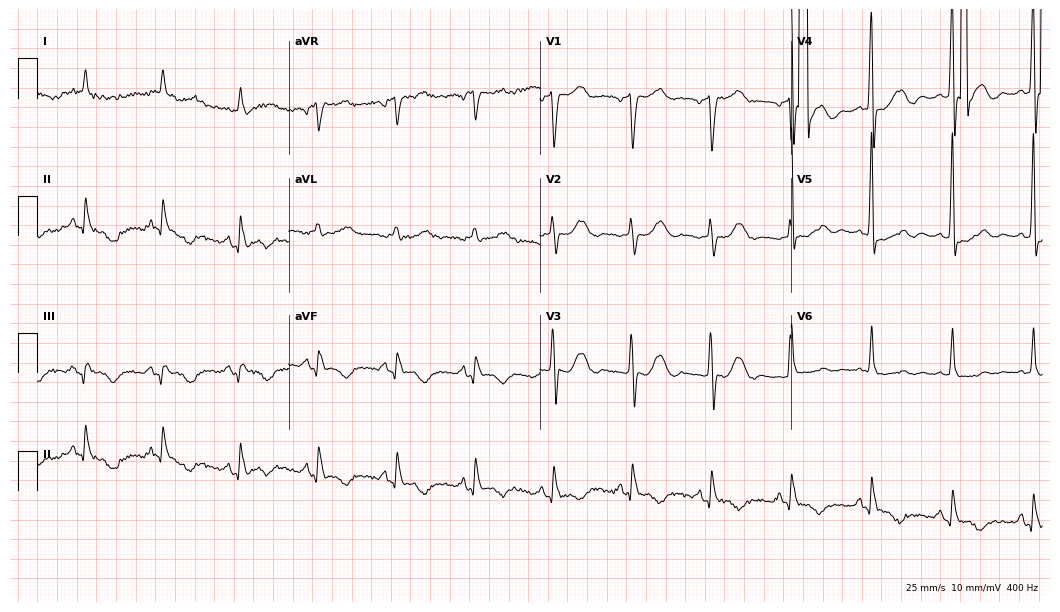
Resting 12-lead electrocardiogram. Patient: a male, 75 years old. None of these six findings is recorded: first-degree AV block, right bundle branch block, left bundle branch block, sinus bradycardia, atrial fibrillation, sinus tachycardia.